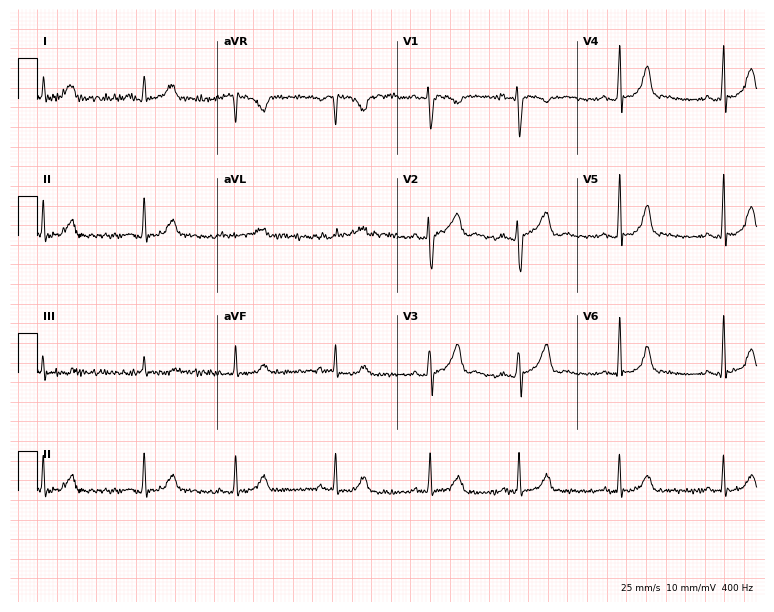
12-lead ECG from a 30-year-old woman (7.3-second recording at 400 Hz). Recorded interpretation: within normal limits.